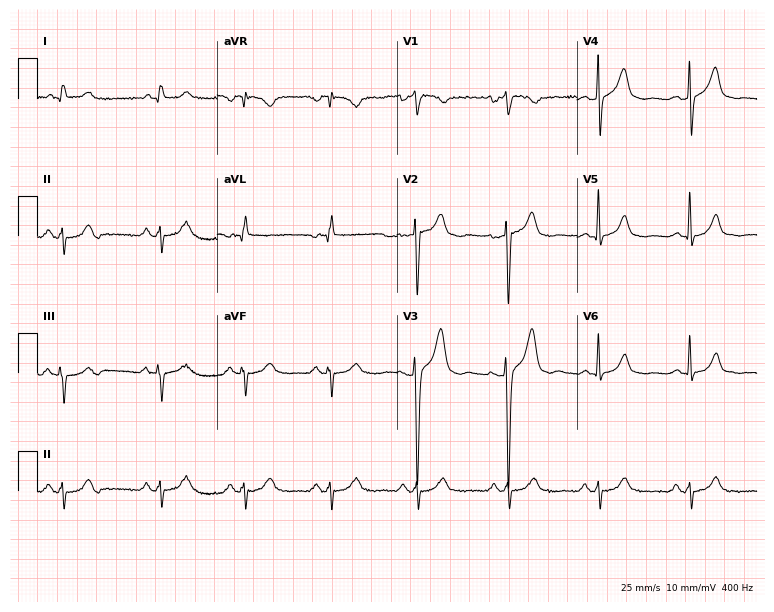
ECG (7.3-second recording at 400 Hz) — a male patient, 64 years old. Screened for six findings — first-degree AV block, right bundle branch block, left bundle branch block, sinus bradycardia, atrial fibrillation, sinus tachycardia — none is recorded.